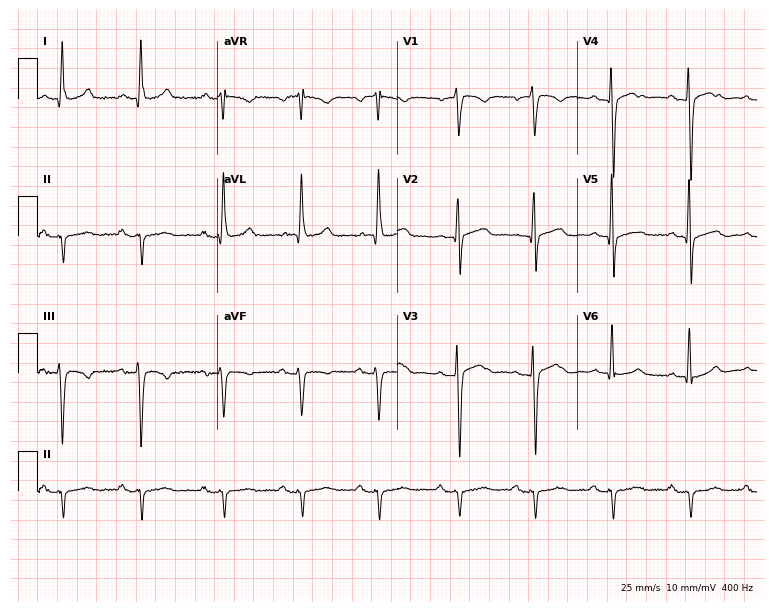
Electrocardiogram, a 78-year-old male patient. Of the six screened findings (first-degree AV block, right bundle branch block, left bundle branch block, sinus bradycardia, atrial fibrillation, sinus tachycardia), none is recorded. Other findings, if any, are not listed.